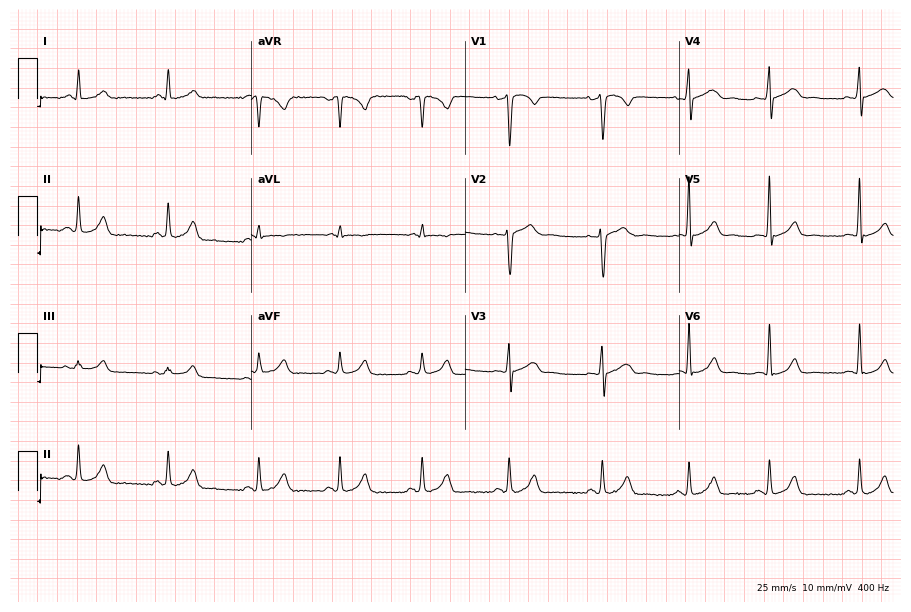
Electrocardiogram (8.7-second recording at 400 Hz), a 29-year-old male. Overall reading on record: normal ECG.